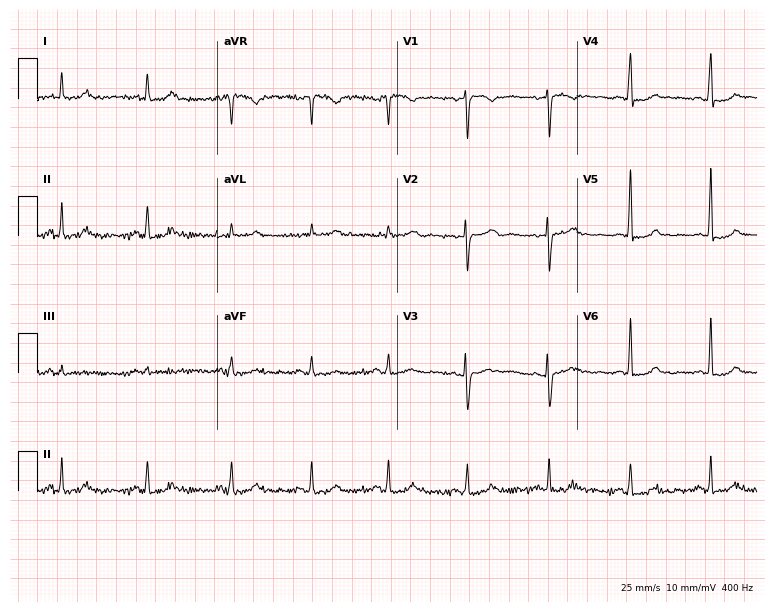
Standard 12-lead ECG recorded from a 44-year-old female patient (7.3-second recording at 400 Hz). None of these six findings is recorded: first-degree AV block, right bundle branch block (RBBB), left bundle branch block (LBBB), sinus bradycardia, atrial fibrillation (AF), sinus tachycardia. Other findings, if any, are not listed.